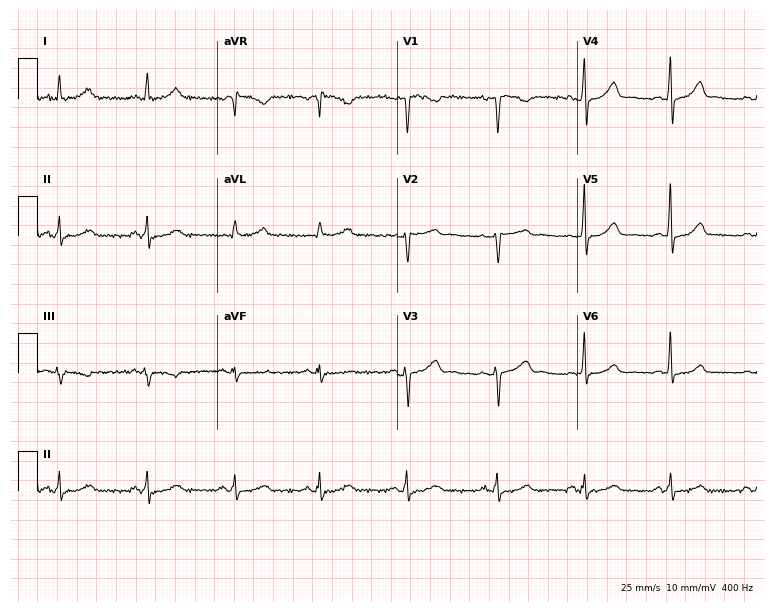
Electrocardiogram (7.3-second recording at 400 Hz), a female, 44 years old. Of the six screened findings (first-degree AV block, right bundle branch block, left bundle branch block, sinus bradycardia, atrial fibrillation, sinus tachycardia), none is recorded.